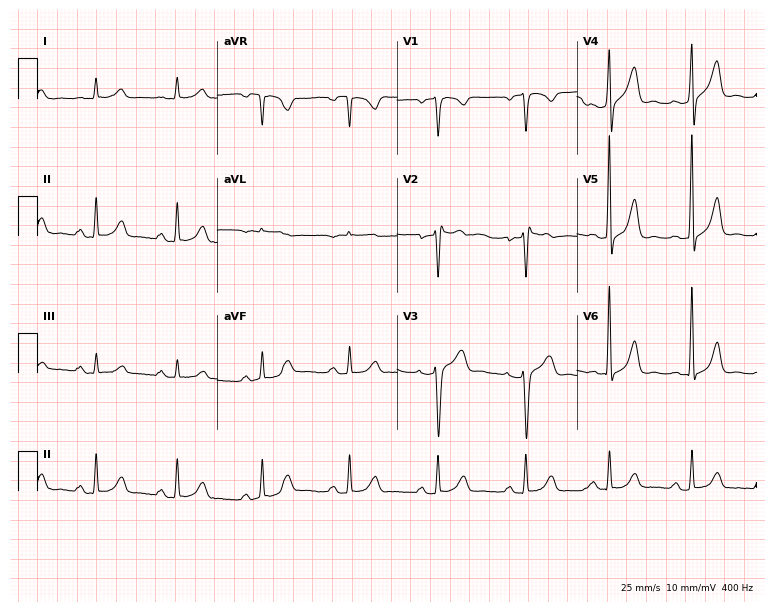
12-lead ECG from a 45-year-old male patient. Screened for six findings — first-degree AV block, right bundle branch block, left bundle branch block, sinus bradycardia, atrial fibrillation, sinus tachycardia — none is recorded. Only these six findings were labelled.